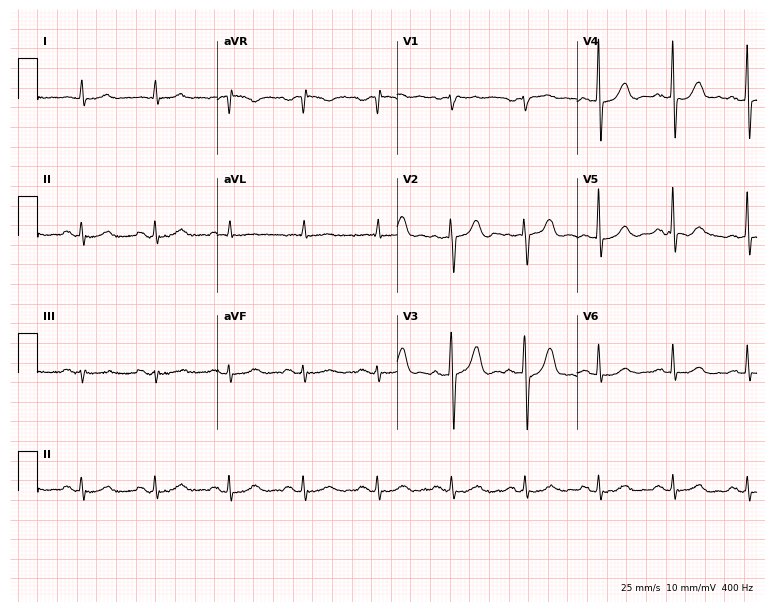
Standard 12-lead ECG recorded from a male, 76 years old (7.3-second recording at 400 Hz). None of these six findings is recorded: first-degree AV block, right bundle branch block (RBBB), left bundle branch block (LBBB), sinus bradycardia, atrial fibrillation (AF), sinus tachycardia. Other findings, if any, are not listed.